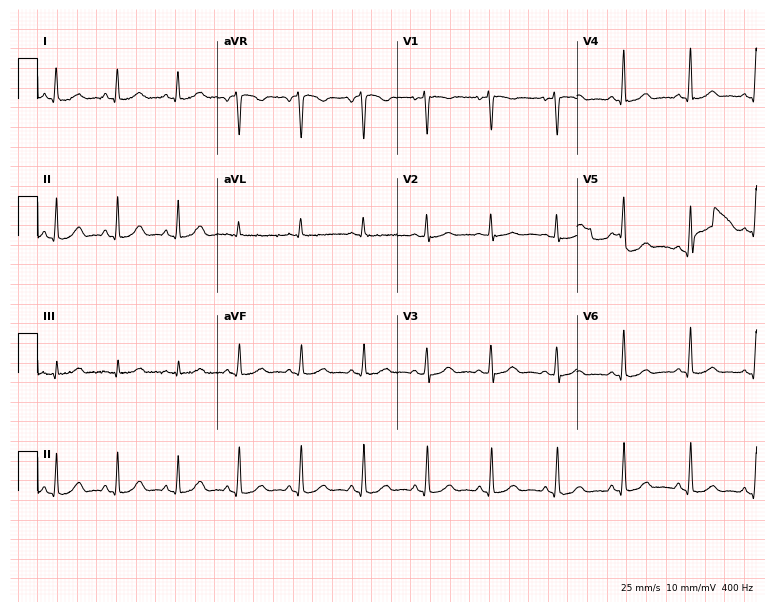
Resting 12-lead electrocardiogram (7.3-second recording at 400 Hz). Patient: a female, 47 years old. Read as a normal ECG.